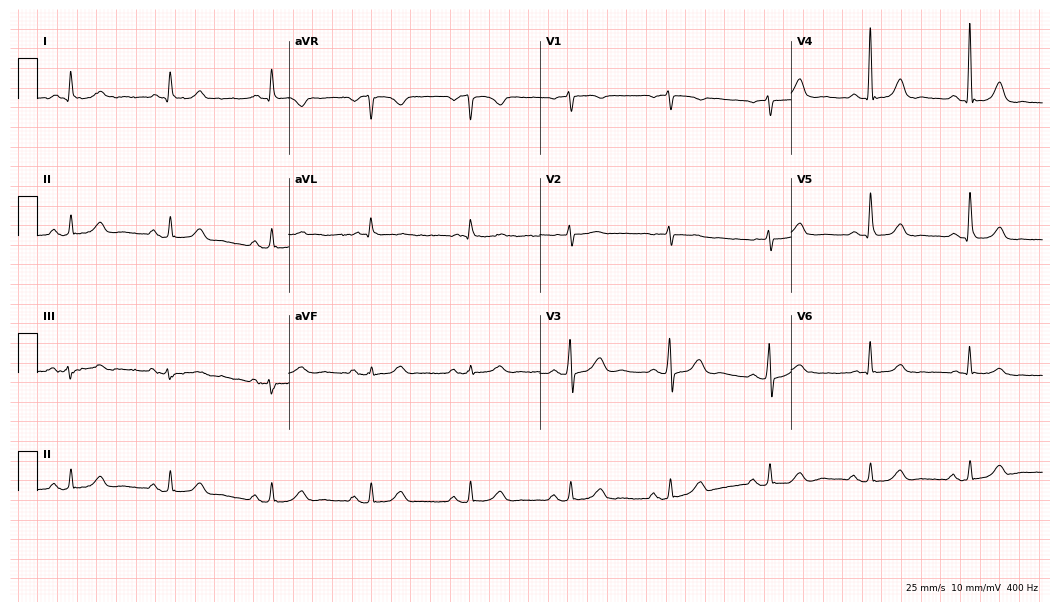
ECG (10.2-second recording at 400 Hz) — a female patient, 69 years old. Labelled as a normal ECG.